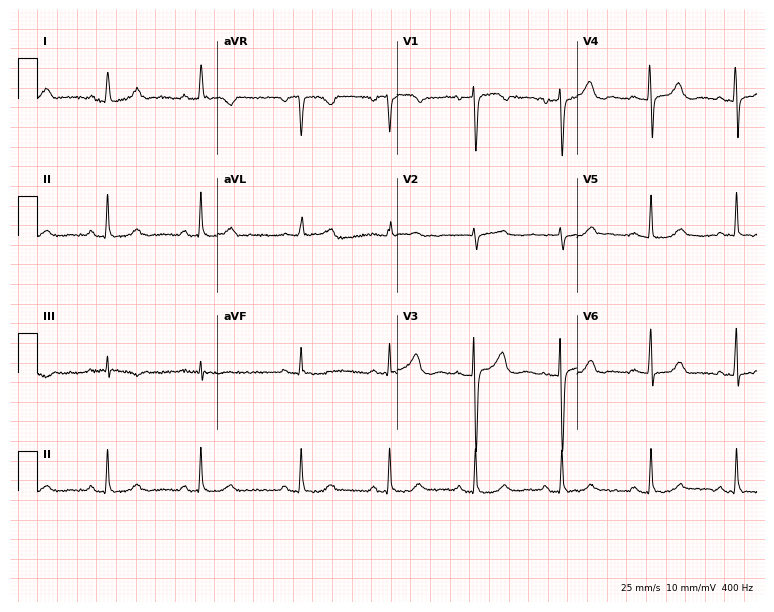
12-lead ECG (7.3-second recording at 400 Hz) from a woman, 35 years old. Labelled as a normal ECG.